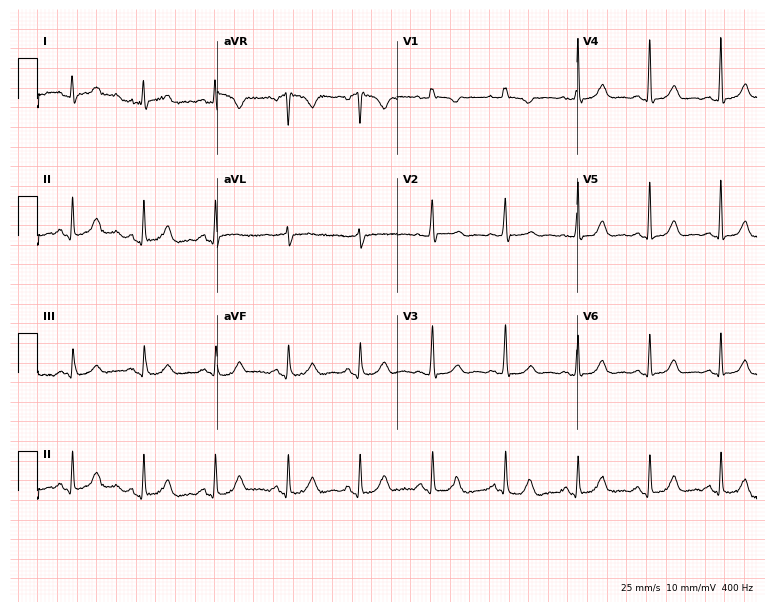
Standard 12-lead ECG recorded from a 71-year-old woman. None of these six findings is recorded: first-degree AV block, right bundle branch block, left bundle branch block, sinus bradycardia, atrial fibrillation, sinus tachycardia.